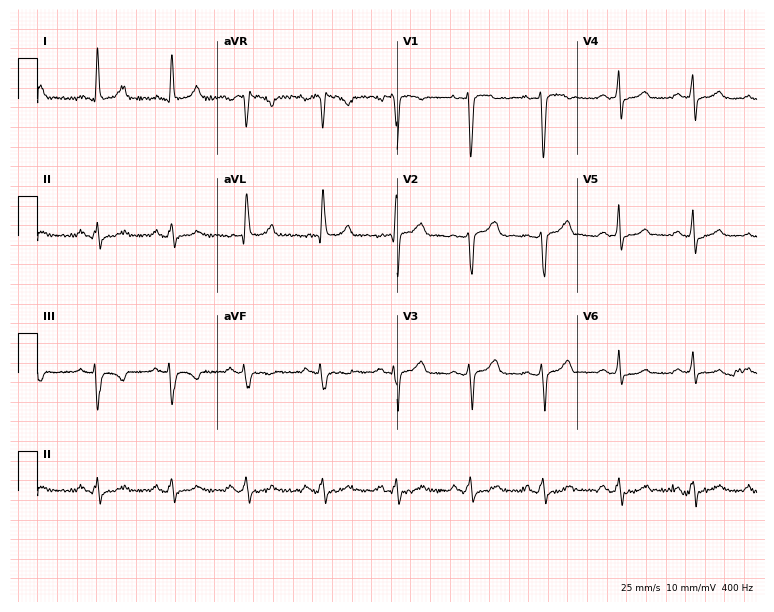
Standard 12-lead ECG recorded from a 37-year-old female patient (7.3-second recording at 400 Hz). Read as a normal ECG.